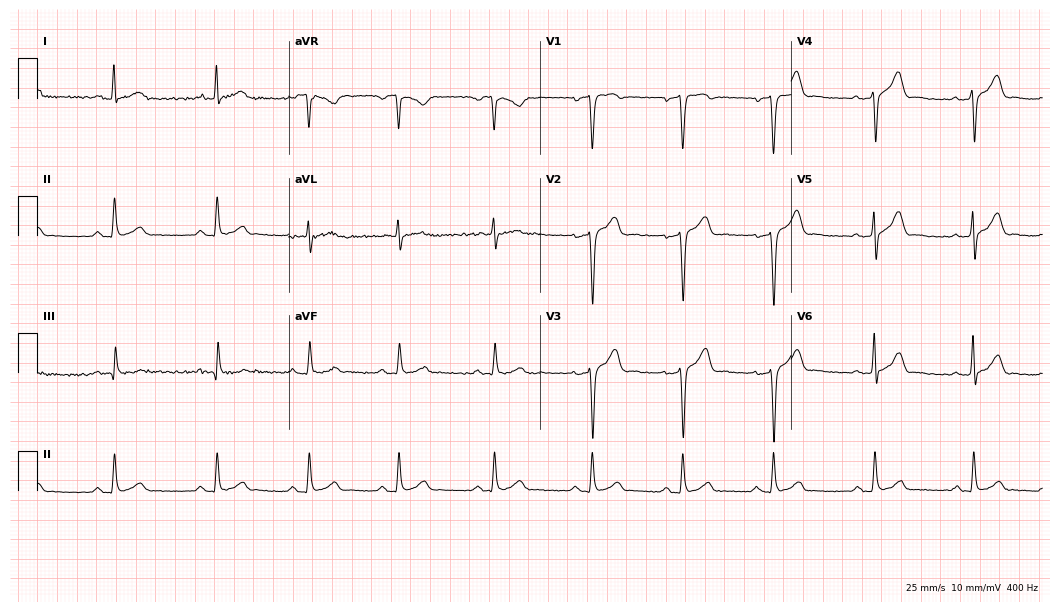
12-lead ECG from a 32-year-old female patient. No first-degree AV block, right bundle branch block, left bundle branch block, sinus bradycardia, atrial fibrillation or sinus tachycardia recorded for this tracing. Only these six findings were labelled.